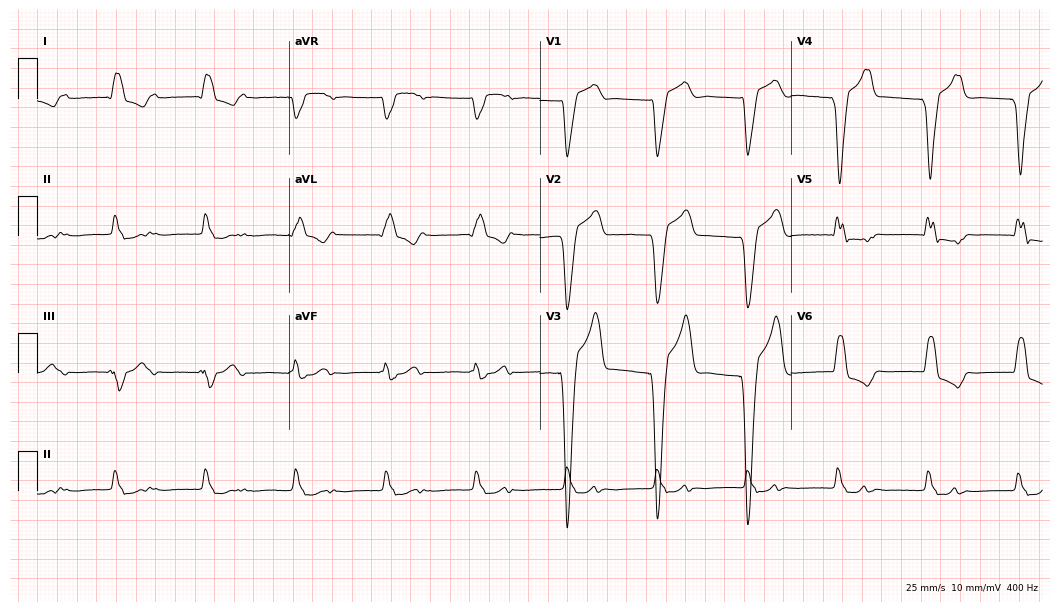
12-lead ECG from a male patient, 85 years old. Screened for six findings — first-degree AV block, right bundle branch block (RBBB), left bundle branch block (LBBB), sinus bradycardia, atrial fibrillation (AF), sinus tachycardia — none is recorded. Findings outside these six are not listed.